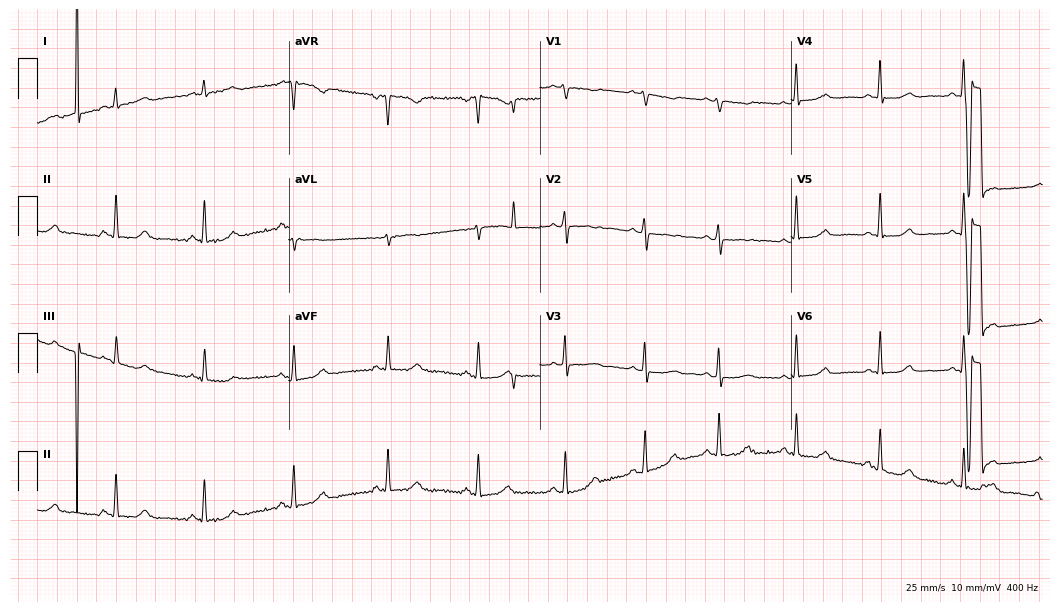
Resting 12-lead electrocardiogram. Patient: a 39-year-old woman. Read as a normal ECG.